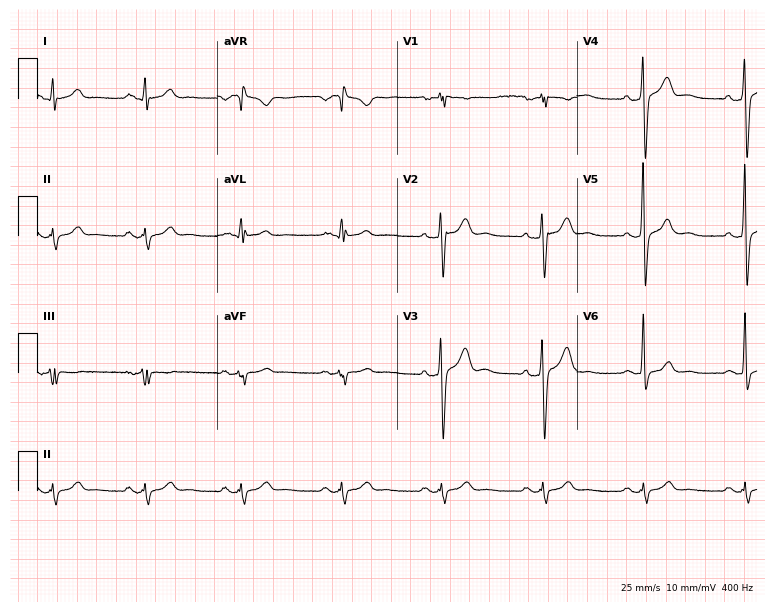
12-lead ECG from a 25-year-old man. Labelled as a normal ECG.